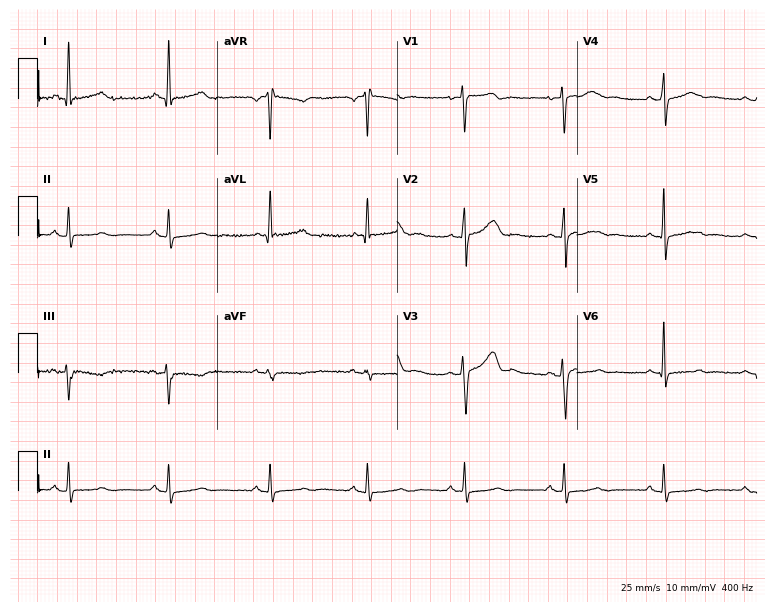
Resting 12-lead electrocardiogram (7.3-second recording at 400 Hz). Patient: a 55-year-old woman. None of these six findings is recorded: first-degree AV block, right bundle branch block, left bundle branch block, sinus bradycardia, atrial fibrillation, sinus tachycardia. Other findings, if any, are not listed.